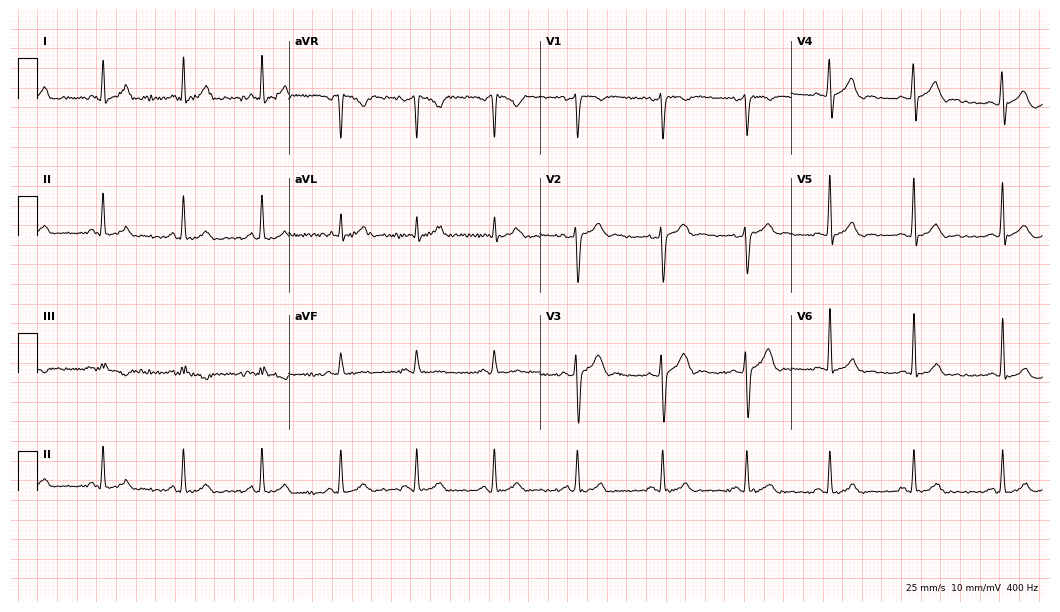
Resting 12-lead electrocardiogram (10.2-second recording at 400 Hz). Patient: a man, 23 years old. Read as a normal ECG.